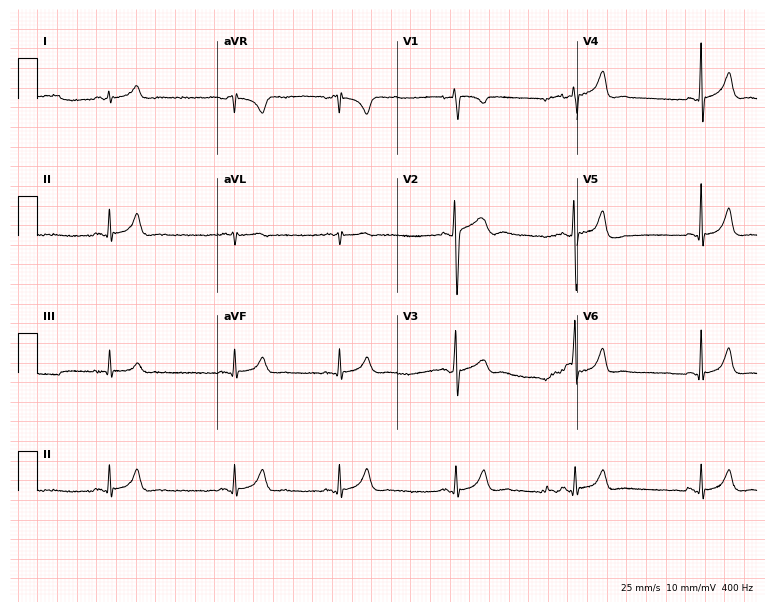
12-lead ECG from a 22-year-old male patient. Shows sinus bradycardia (a sinus rate of 50 beats per minute or less).